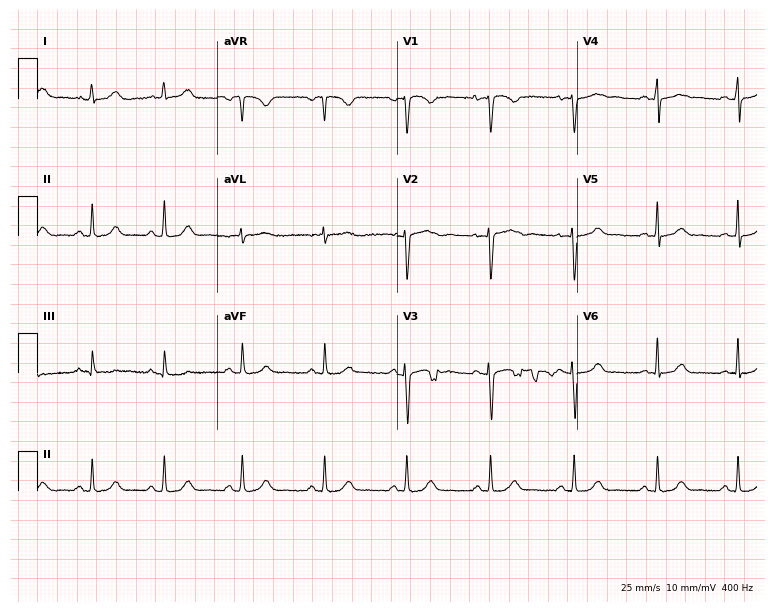
12-lead ECG from a woman, 23 years old. No first-degree AV block, right bundle branch block (RBBB), left bundle branch block (LBBB), sinus bradycardia, atrial fibrillation (AF) or sinus tachycardia recorded for this tracing.